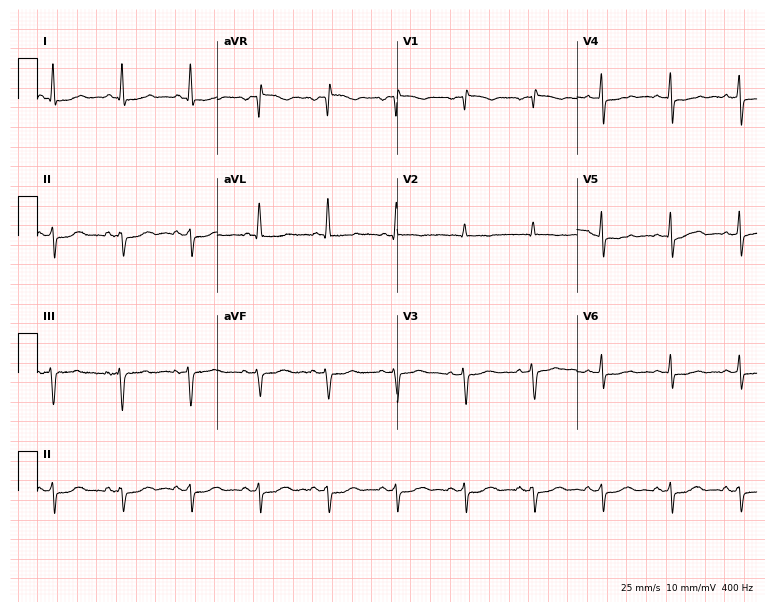
Resting 12-lead electrocardiogram (7.3-second recording at 400 Hz). Patient: a woman, 64 years old. None of these six findings is recorded: first-degree AV block, right bundle branch block, left bundle branch block, sinus bradycardia, atrial fibrillation, sinus tachycardia.